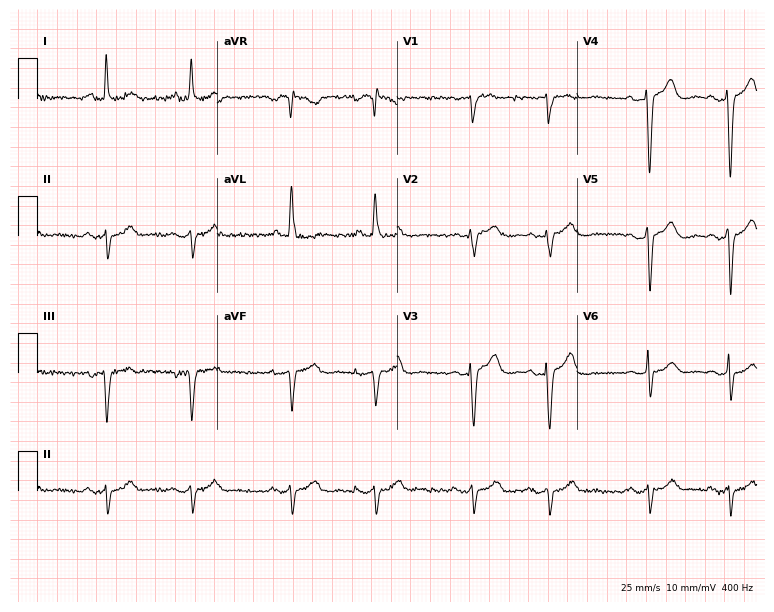
Electrocardiogram (7.3-second recording at 400 Hz), a female, 75 years old. Of the six screened findings (first-degree AV block, right bundle branch block, left bundle branch block, sinus bradycardia, atrial fibrillation, sinus tachycardia), none is recorded. Only these six findings were labelled.